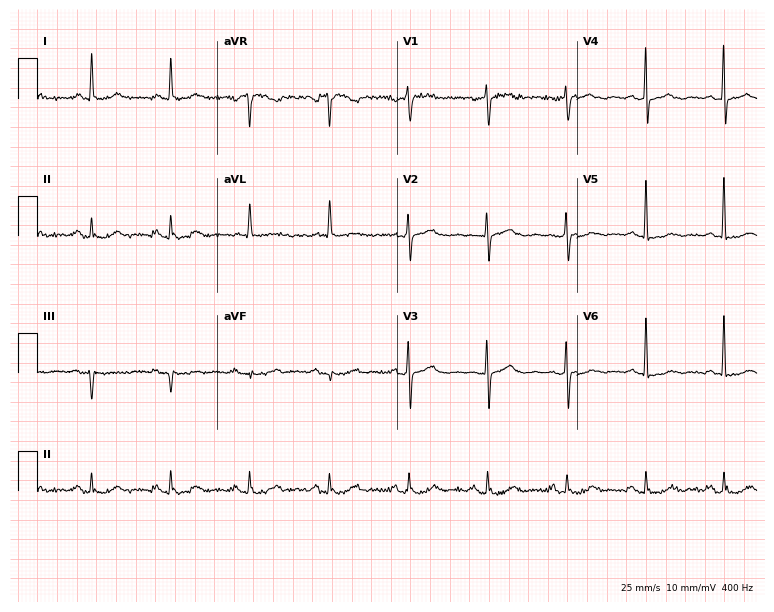
12-lead ECG from a 68-year-old female. Screened for six findings — first-degree AV block, right bundle branch block (RBBB), left bundle branch block (LBBB), sinus bradycardia, atrial fibrillation (AF), sinus tachycardia — none is recorded.